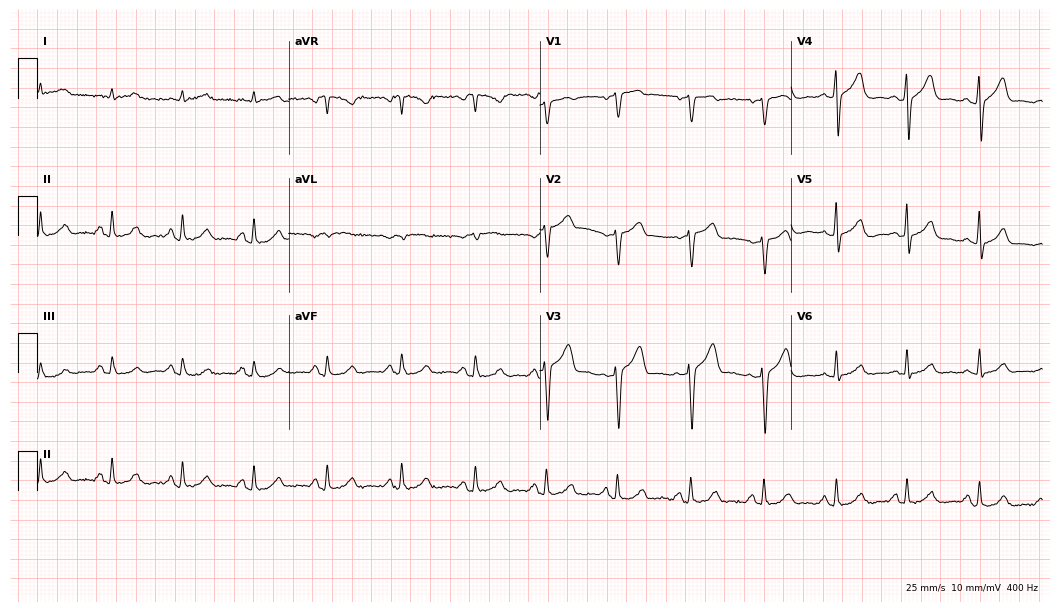
Resting 12-lead electrocardiogram. Patient: a male, 57 years old. Read as a normal ECG.